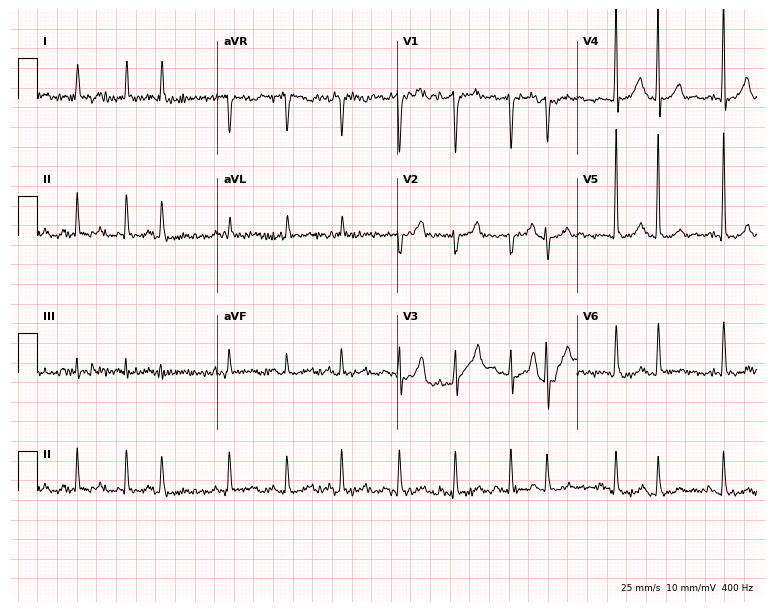
Resting 12-lead electrocardiogram. Patient: a woman, 78 years old. None of these six findings is recorded: first-degree AV block, right bundle branch block, left bundle branch block, sinus bradycardia, atrial fibrillation, sinus tachycardia.